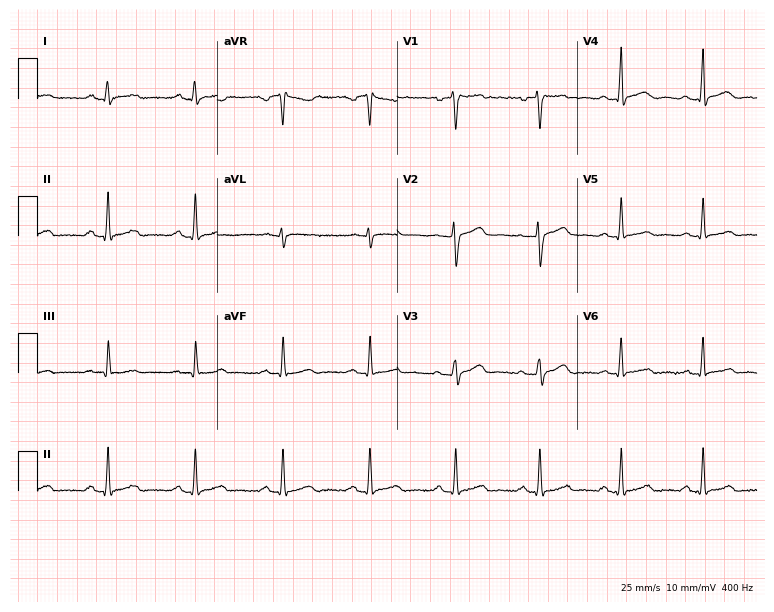
Resting 12-lead electrocardiogram. Patient: a female, 45 years old. Read as a normal ECG.